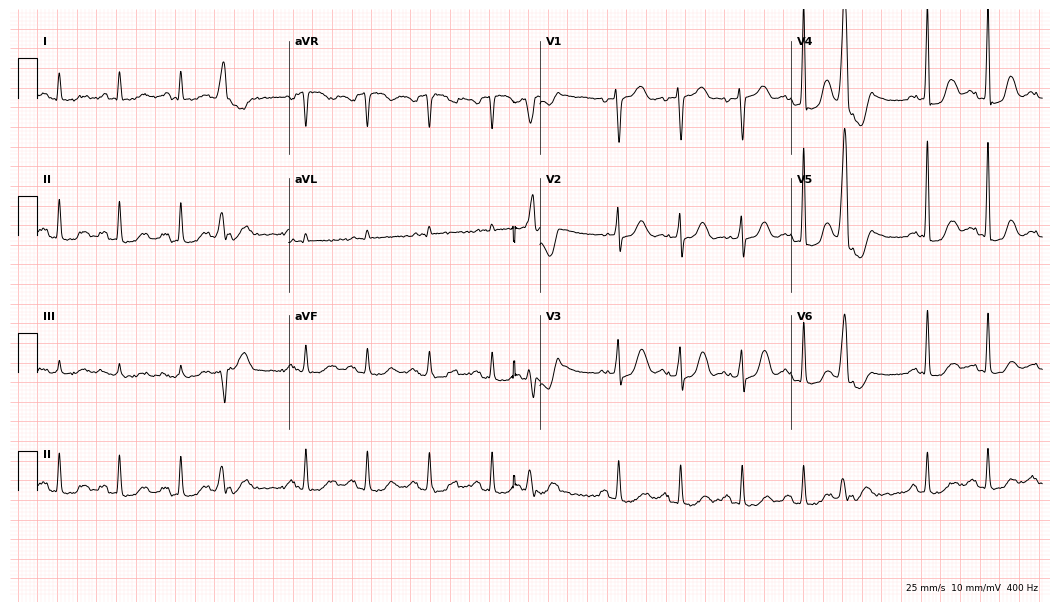
Resting 12-lead electrocardiogram. Patient: a female, 79 years old. None of these six findings is recorded: first-degree AV block, right bundle branch block (RBBB), left bundle branch block (LBBB), sinus bradycardia, atrial fibrillation (AF), sinus tachycardia.